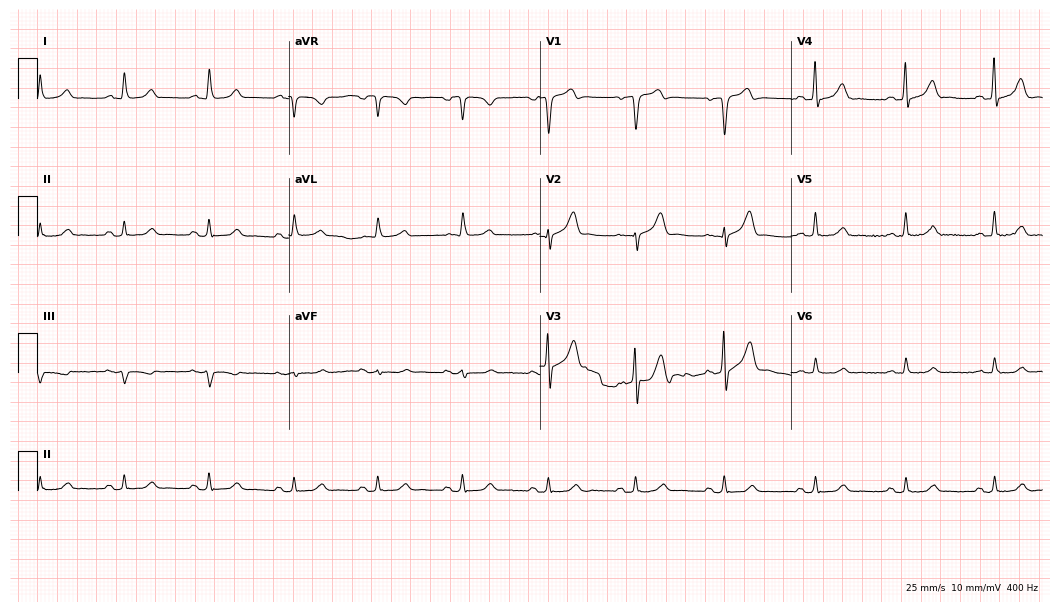
Standard 12-lead ECG recorded from a male, 76 years old. Read as a normal ECG.